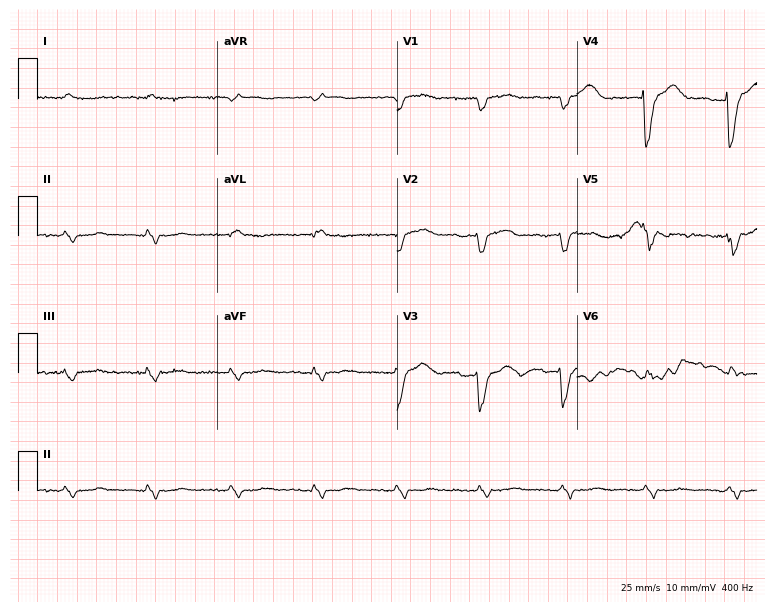
Electrocardiogram (7.3-second recording at 400 Hz), a male, 83 years old. Of the six screened findings (first-degree AV block, right bundle branch block, left bundle branch block, sinus bradycardia, atrial fibrillation, sinus tachycardia), none is recorded. Only these six findings were labelled.